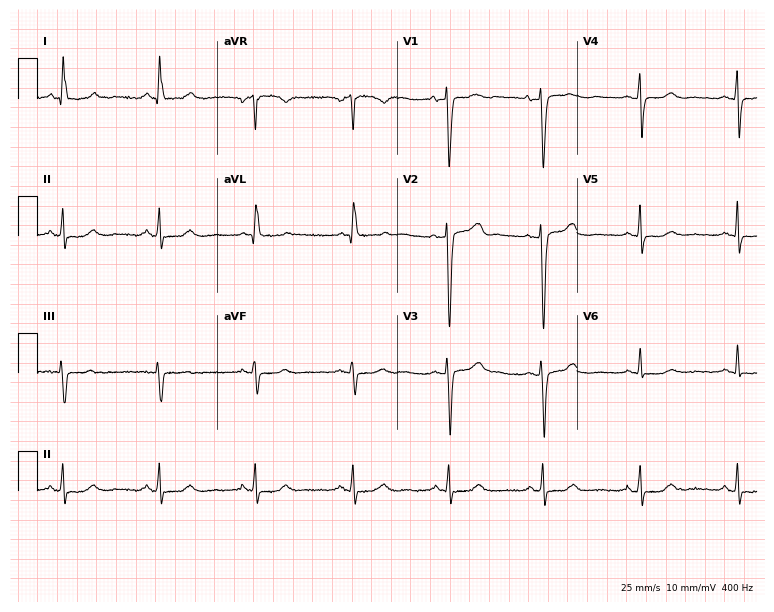
12-lead ECG from a 42-year-old female patient. No first-degree AV block, right bundle branch block (RBBB), left bundle branch block (LBBB), sinus bradycardia, atrial fibrillation (AF) or sinus tachycardia recorded for this tracing. Only these six findings were labelled.